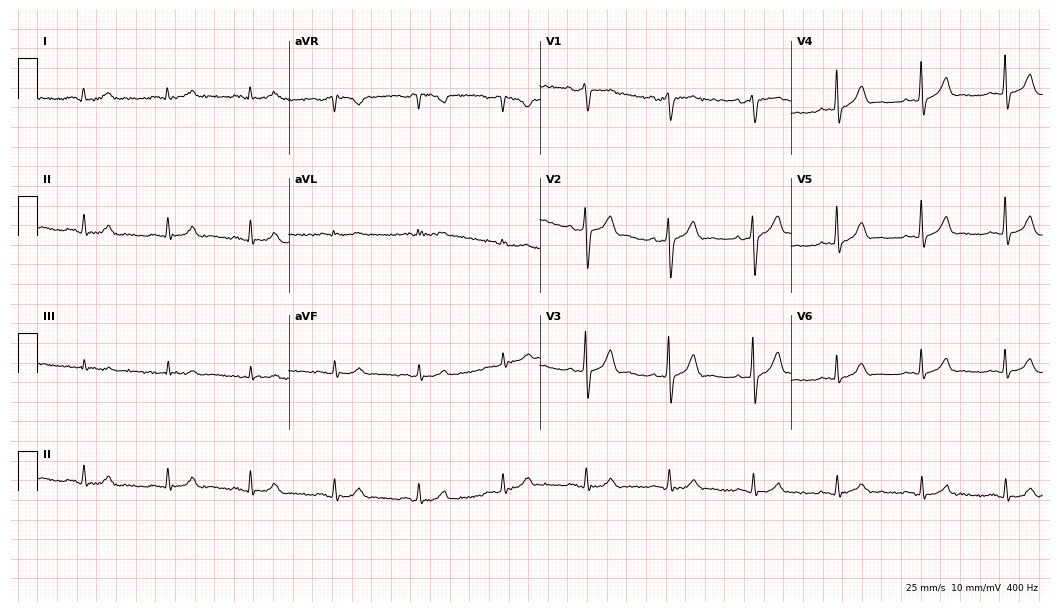
Standard 12-lead ECG recorded from a man, 59 years old. Read as a normal ECG.